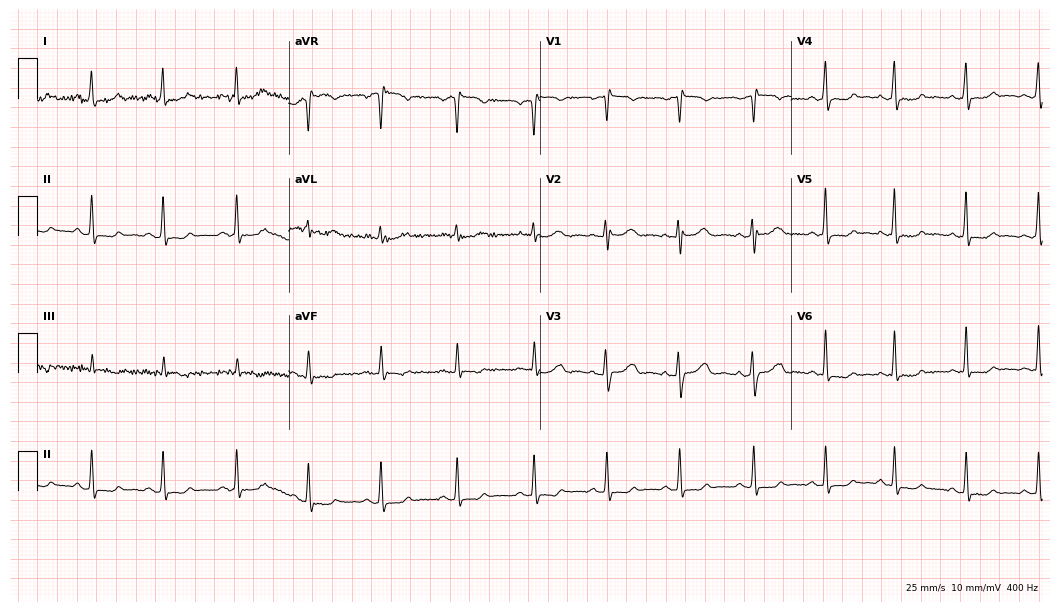
ECG (10.2-second recording at 400 Hz) — a 17-year-old female. Screened for six findings — first-degree AV block, right bundle branch block (RBBB), left bundle branch block (LBBB), sinus bradycardia, atrial fibrillation (AF), sinus tachycardia — none is recorded. Other findings, if any, are not listed.